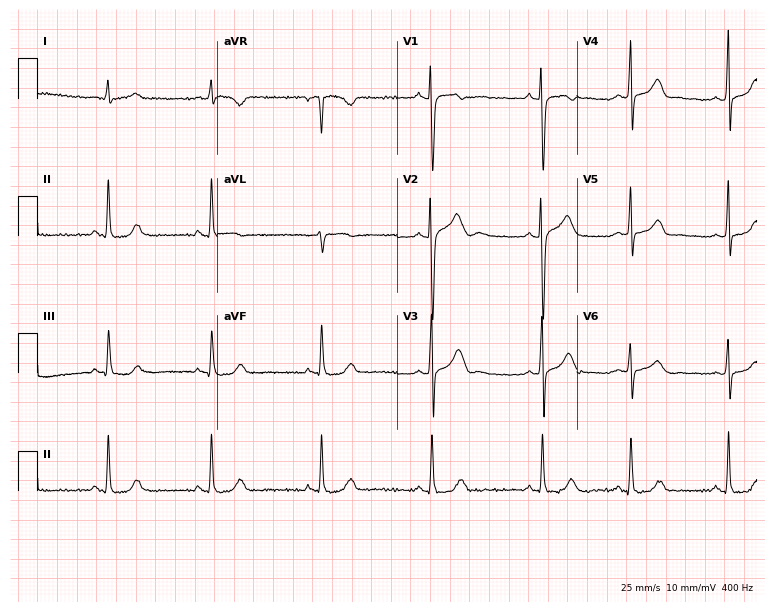
12-lead ECG from a female patient, 22 years old. Recorded interpretation: within normal limits.